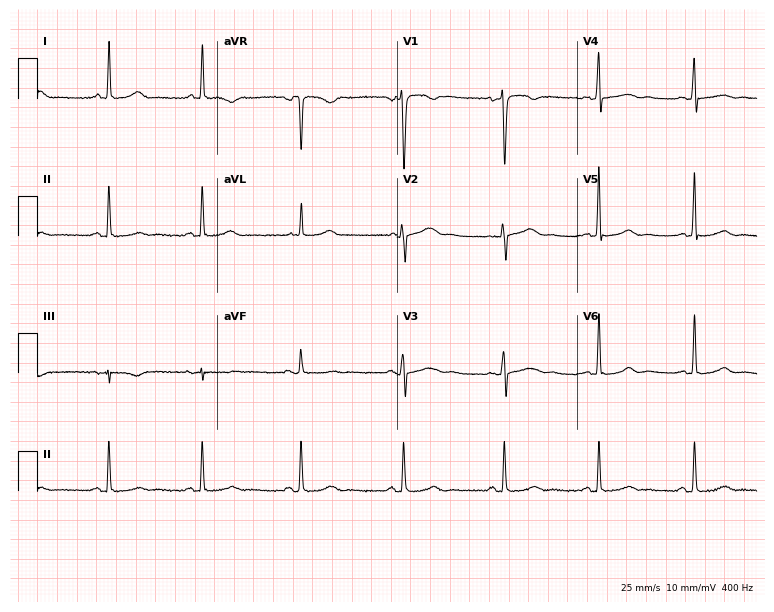
Resting 12-lead electrocardiogram. Patient: a 51-year-old female. None of these six findings is recorded: first-degree AV block, right bundle branch block (RBBB), left bundle branch block (LBBB), sinus bradycardia, atrial fibrillation (AF), sinus tachycardia. Only these six findings were labelled.